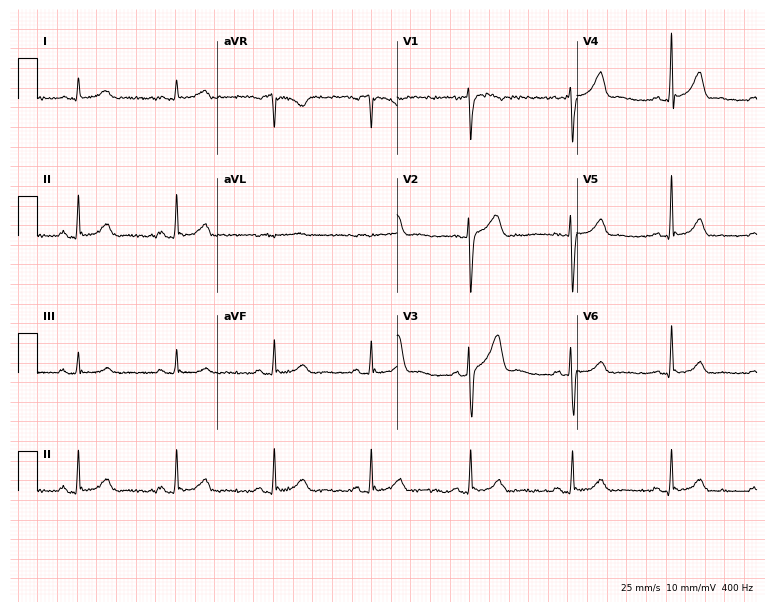
Electrocardiogram, a male, 42 years old. Overall reading on record: normal ECG.